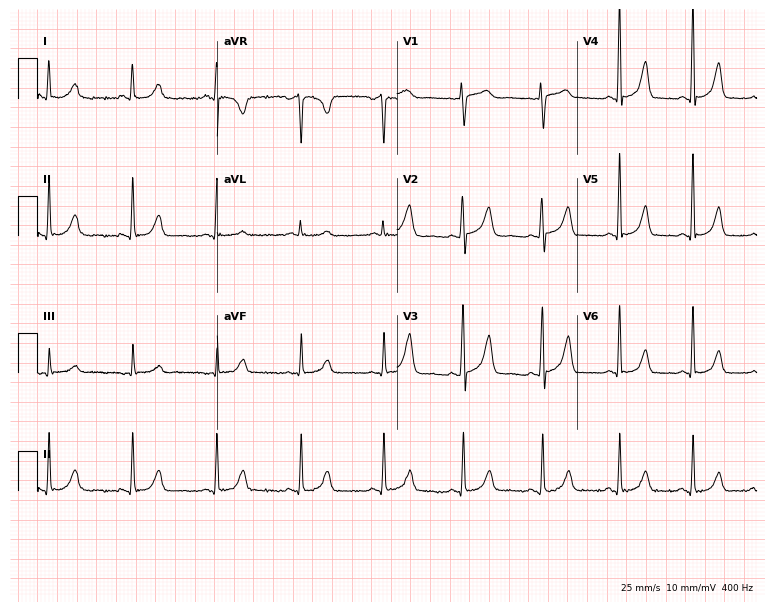
ECG — a 58-year-old woman. Labelled as a normal ECG.